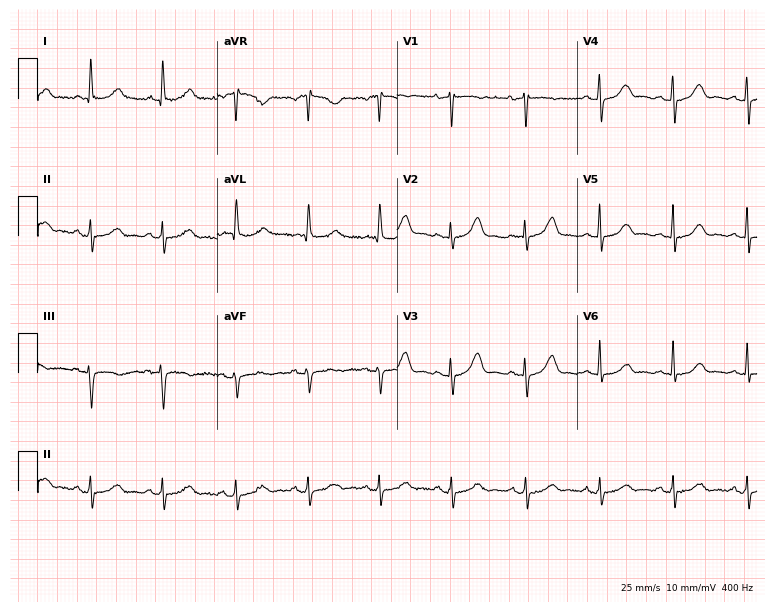
Standard 12-lead ECG recorded from a 71-year-old woman (7.3-second recording at 400 Hz). Read as a normal ECG.